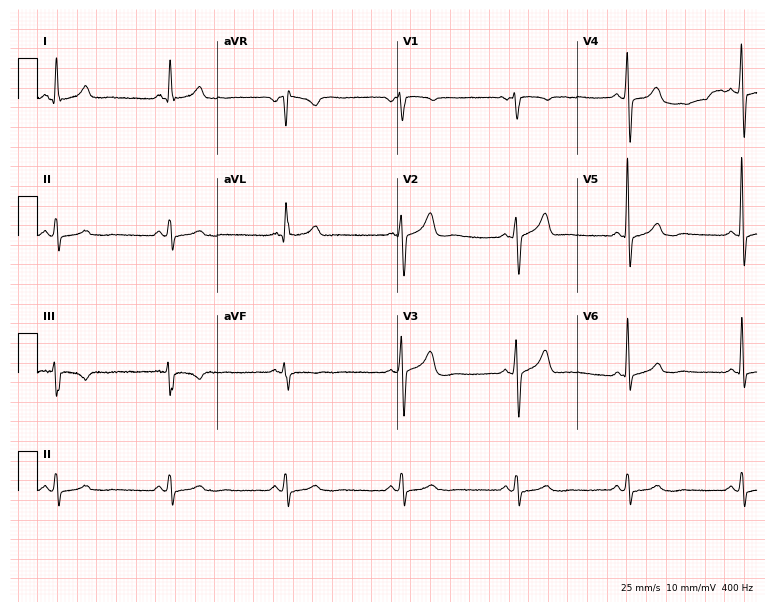
Electrocardiogram (7.3-second recording at 400 Hz), a woman, 65 years old. Of the six screened findings (first-degree AV block, right bundle branch block, left bundle branch block, sinus bradycardia, atrial fibrillation, sinus tachycardia), none is recorded.